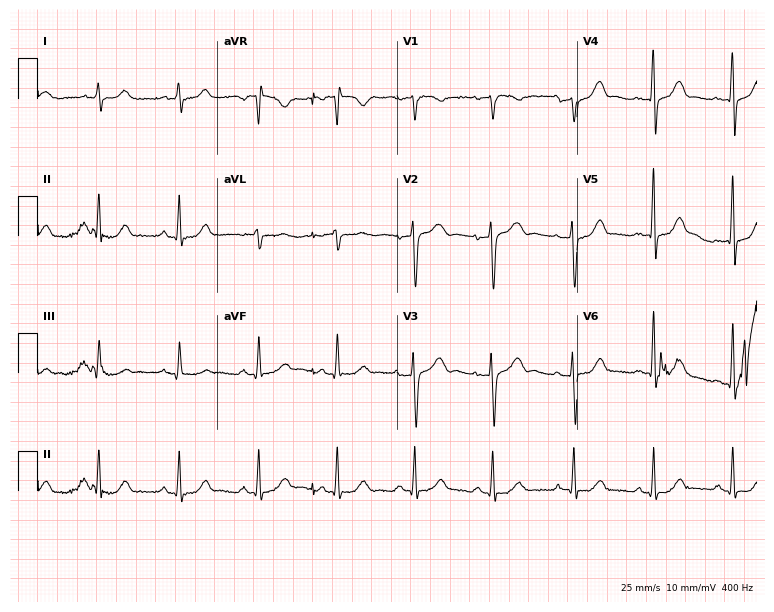
ECG — a male patient, 66 years old. Labelled as a normal ECG.